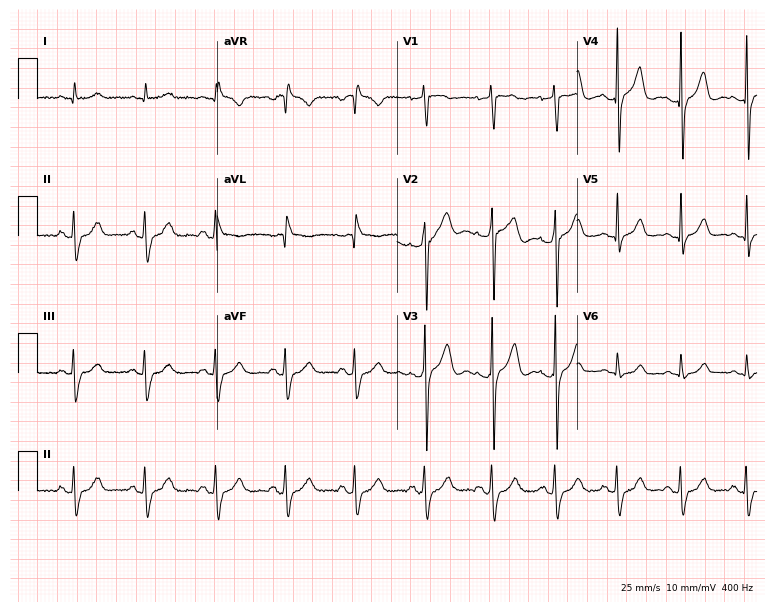
12-lead ECG from a 56-year-old male. No first-degree AV block, right bundle branch block (RBBB), left bundle branch block (LBBB), sinus bradycardia, atrial fibrillation (AF) or sinus tachycardia recorded for this tracing. Only these six findings were labelled.